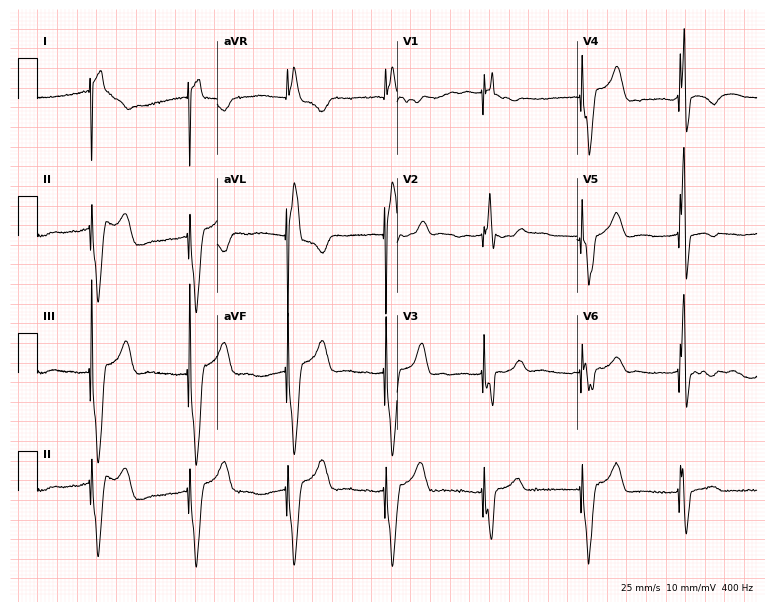
ECG — an 82-year-old woman. Screened for six findings — first-degree AV block, right bundle branch block, left bundle branch block, sinus bradycardia, atrial fibrillation, sinus tachycardia — none is recorded.